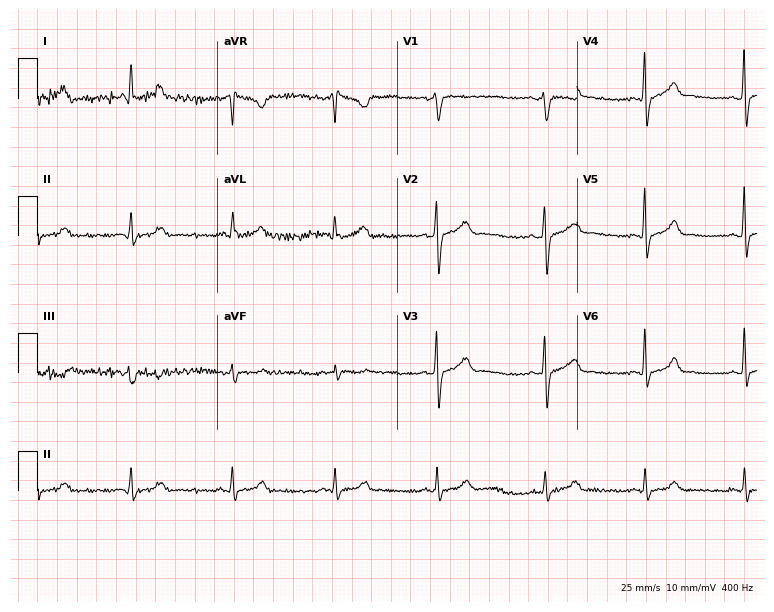
12-lead ECG from a 33-year-old male. Recorded interpretation: within normal limits.